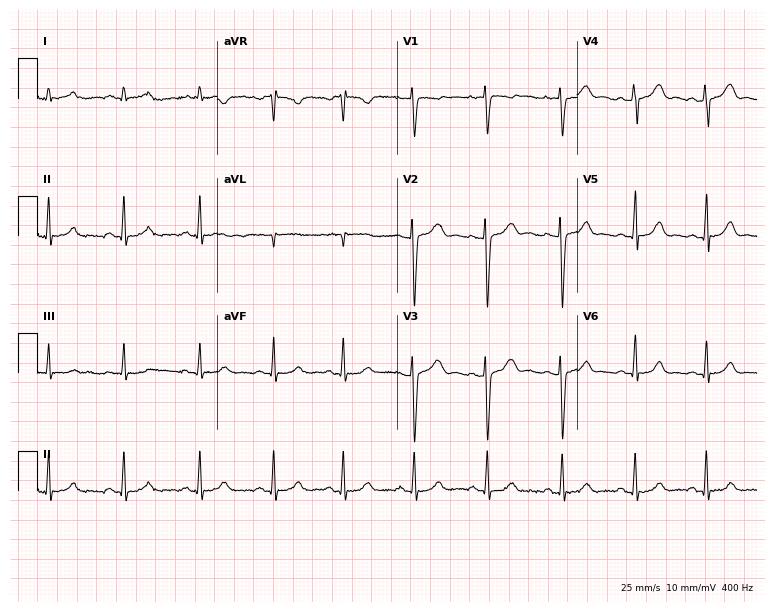
12-lead ECG from a 19-year-old female patient. Labelled as a normal ECG.